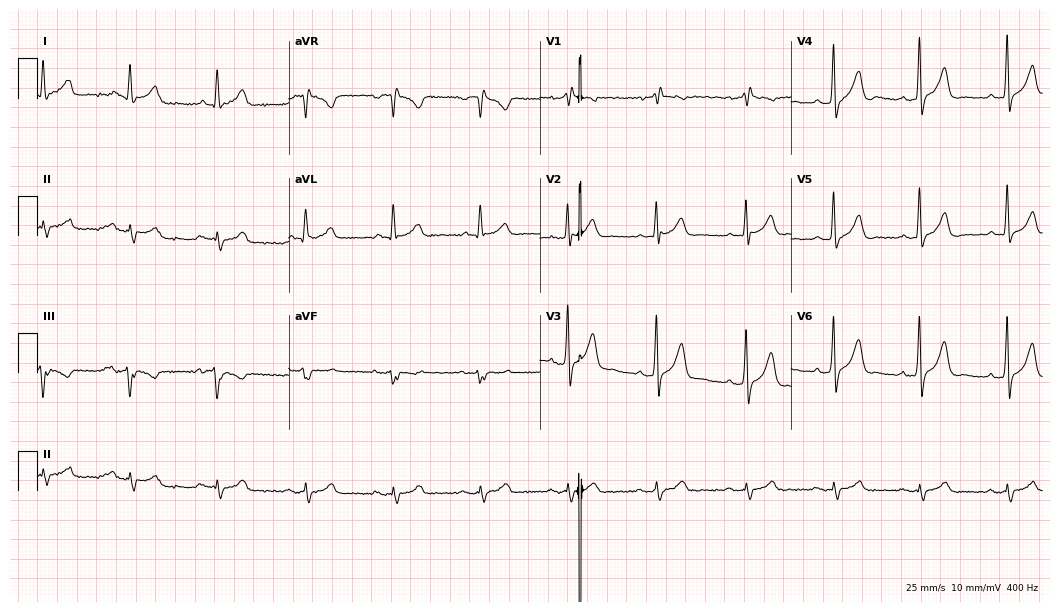
Resting 12-lead electrocardiogram (10.2-second recording at 400 Hz). Patient: a man, 60 years old. None of these six findings is recorded: first-degree AV block, right bundle branch block (RBBB), left bundle branch block (LBBB), sinus bradycardia, atrial fibrillation (AF), sinus tachycardia. Other findings, if any, are not listed.